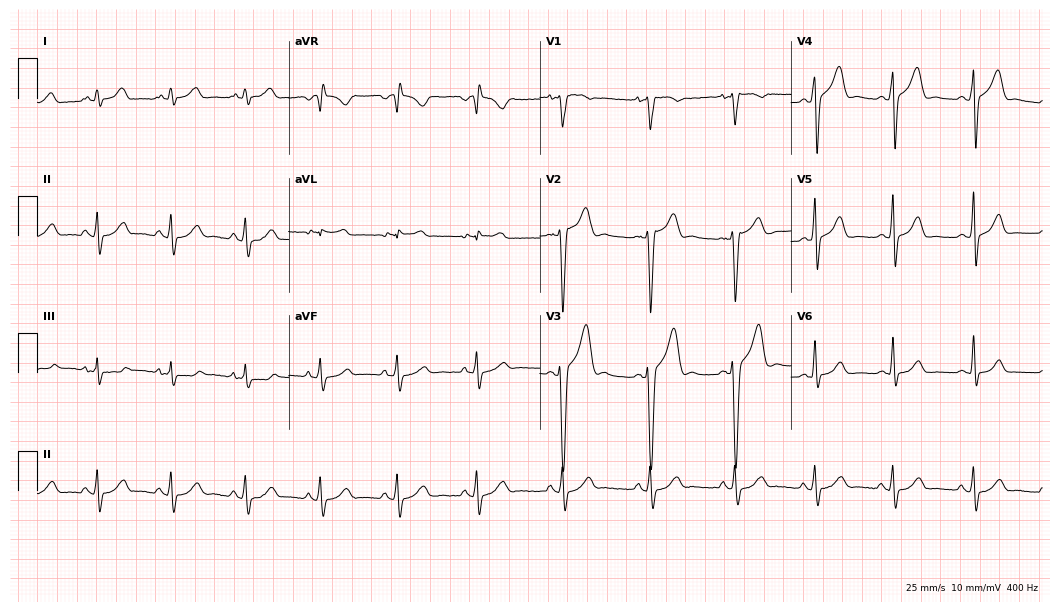
Resting 12-lead electrocardiogram. Patient: a man, 26 years old. Read as a normal ECG.